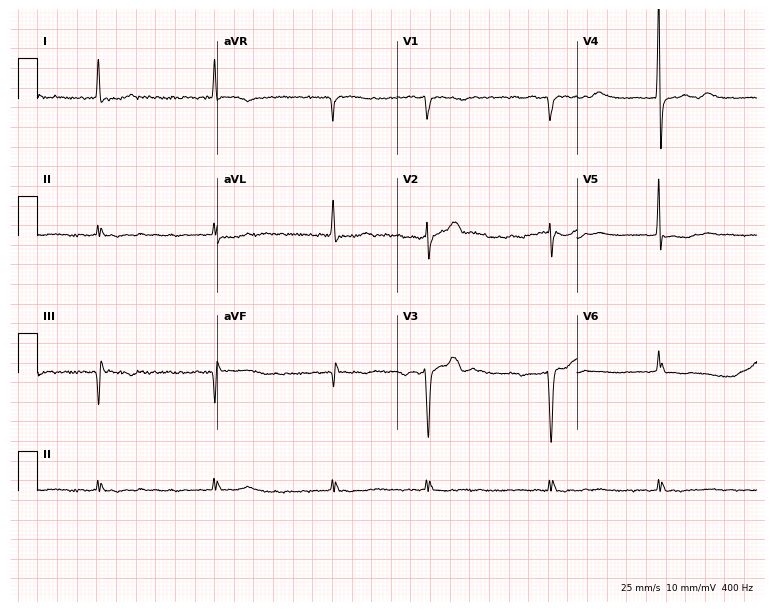
12-lead ECG from an 82-year-old man. Screened for six findings — first-degree AV block, right bundle branch block, left bundle branch block, sinus bradycardia, atrial fibrillation, sinus tachycardia — none is recorded.